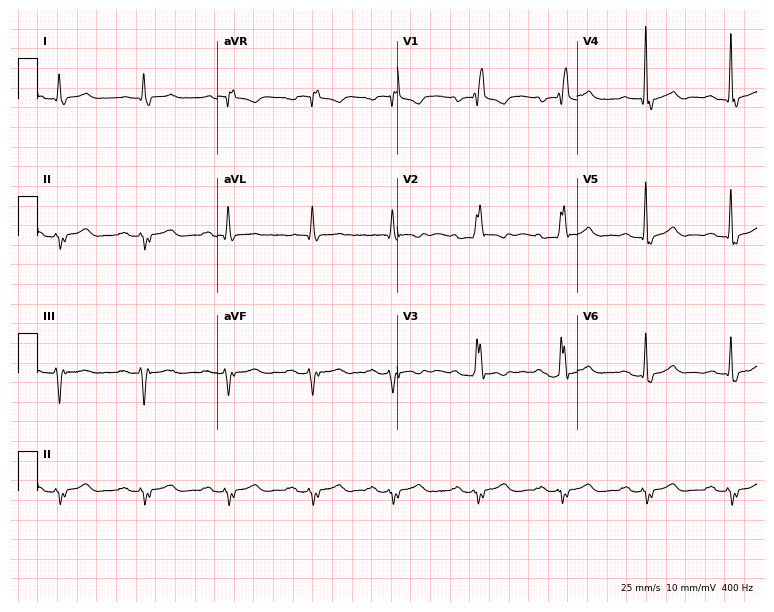
Standard 12-lead ECG recorded from an 85-year-old man (7.3-second recording at 400 Hz). The tracing shows first-degree AV block, right bundle branch block.